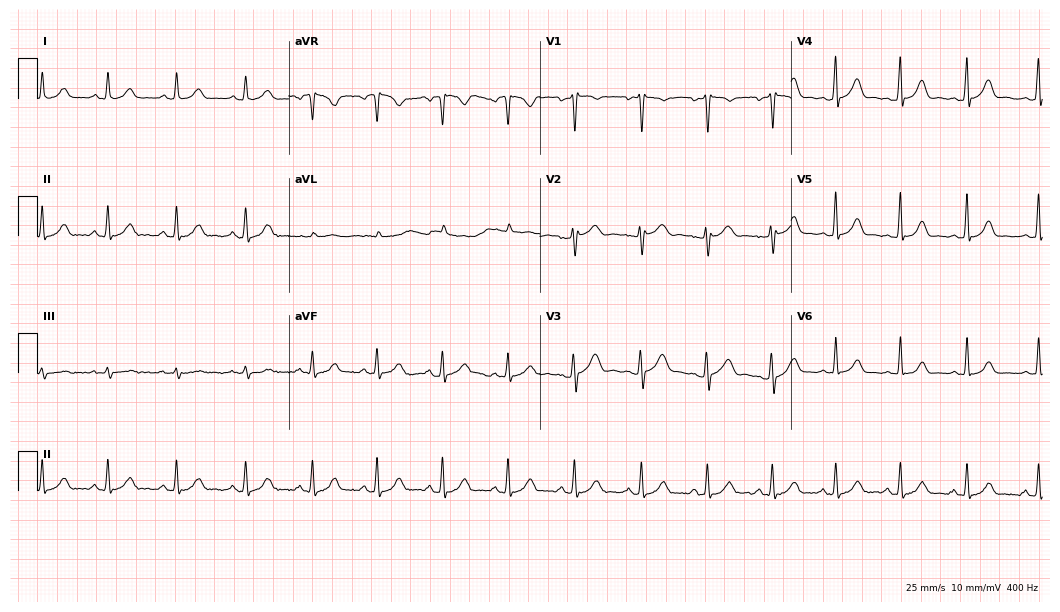
Standard 12-lead ECG recorded from a female patient, 25 years old (10.2-second recording at 400 Hz). Read as a normal ECG.